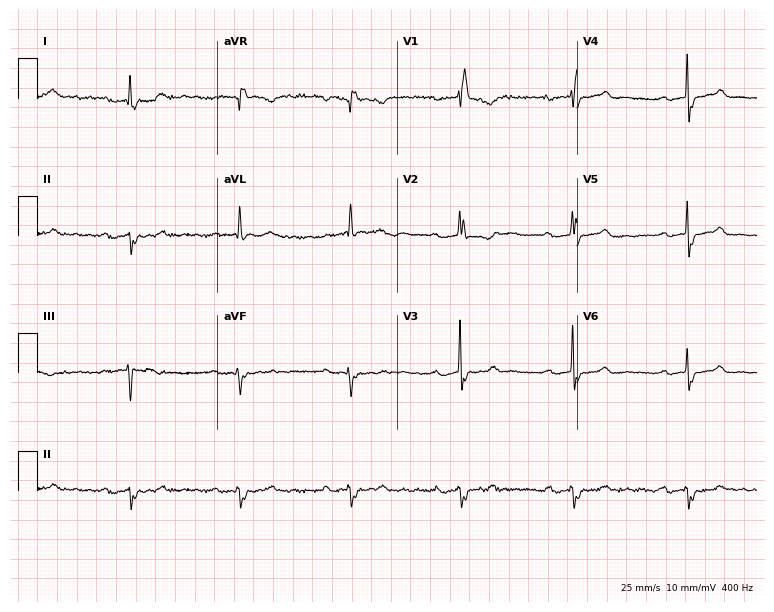
Resting 12-lead electrocardiogram. Patient: a female, 70 years old. The tracing shows right bundle branch block.